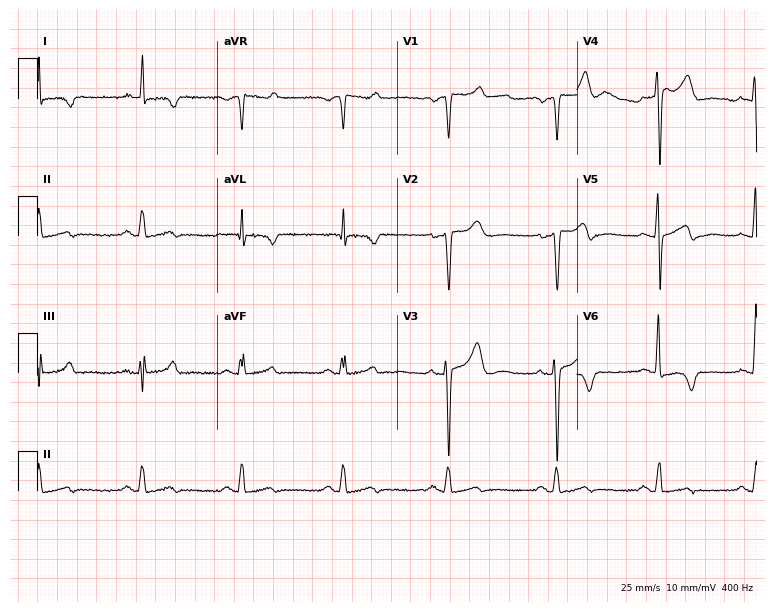
ECG (7.3-second recording at 400 Hz) — a female, 45 years old. Screened for six findings — first-degree AV block, right bundle branch block (RBBB), left bundle branch block (LBBB), sinus bradycardia, atrial fibrillation (AF), sinus tachycardia — none is recorded.